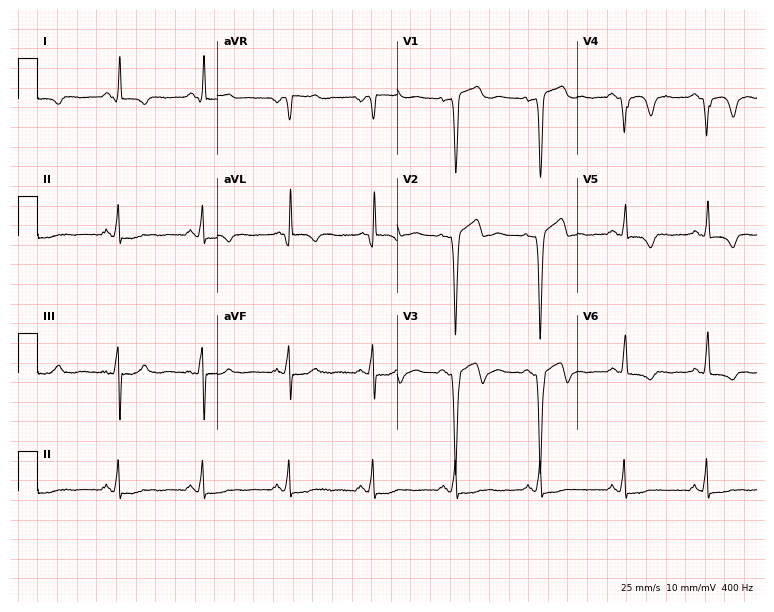
Standard 12-lead ECG recorded from a male patient, 60 years old. None of these six findings is recorded: first-degree AV block, right bundle branch block, left bundle branch block, sinus bradycardia, atrial fibrillation, sinus tachycardia.